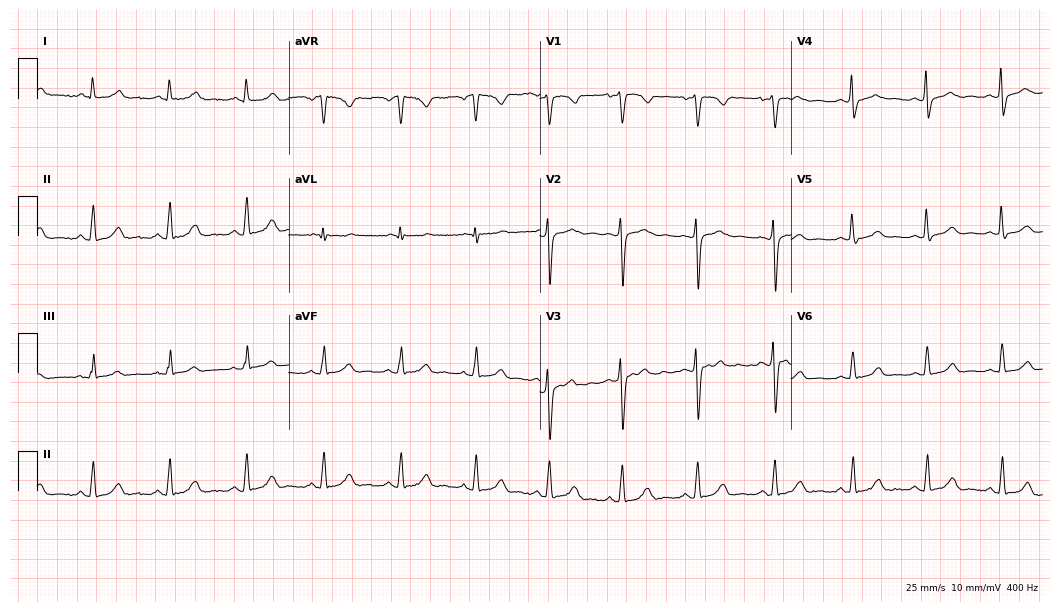
12-lead ECG from a female, 39 years old. Labelled as a normal ECG.